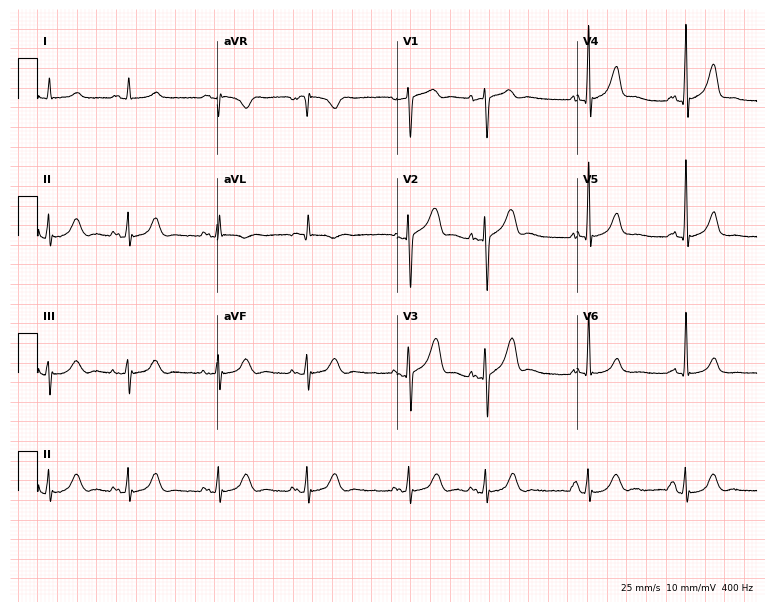
12-lead ECG from a man, 73 years old. No first-degree AV block, right bundle branch block (RBBB), left bundle branch block (LBBB), sinus bradycardia, atrial fibrillation (AF) or sinus tachycardia recorded for this tracing.